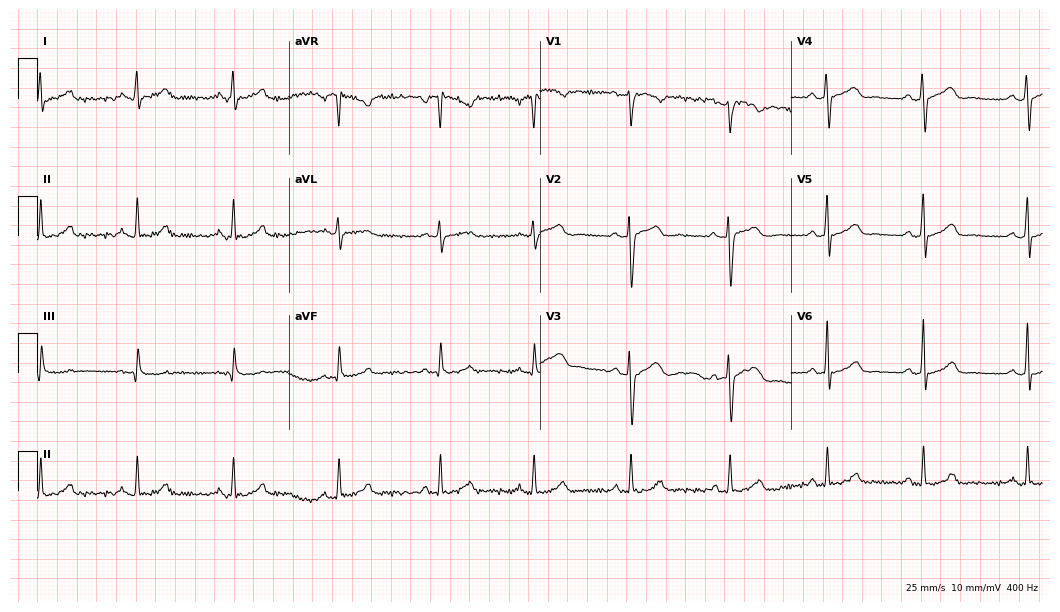
Resting 12-lead electrocardiogram (10.2-second recording at 400 Hz). Patient: a female, 35 years old. Read as a normal ECG.